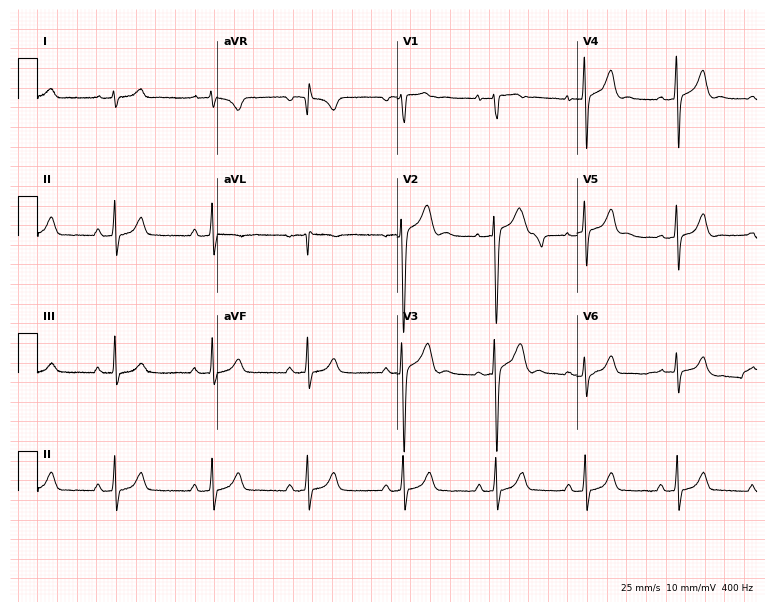
12-lead ECG from a 17-year-old male. Screened for six findings — first-degree AV block, right bundle branch block, left bundle branch block, sinus bradycardia, atrial fibrillation, sinus tachycardia — none is recorded.